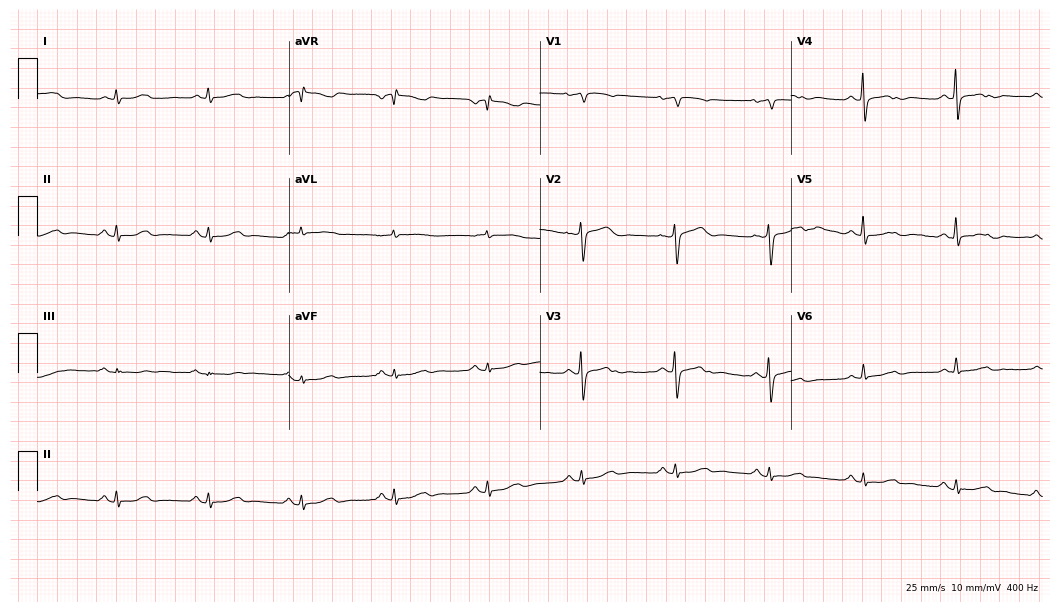
Resting 12-lead electrocardiogram (10.2-second recording at 400 Hz). Patient: a 74-year-old female. Read as a normal ECG.